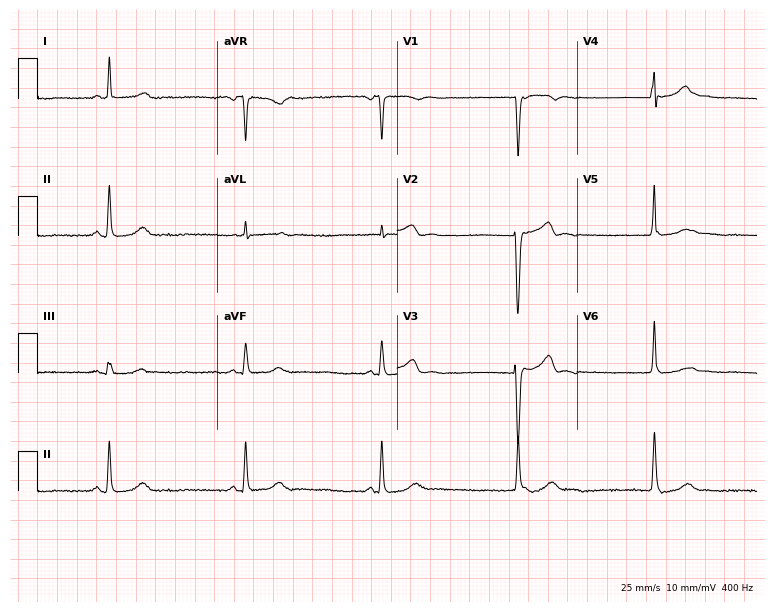
ECG — a 42-year-old female. Findings include sinus bradycardia (a sinus rate of 50 beats per minute or less).